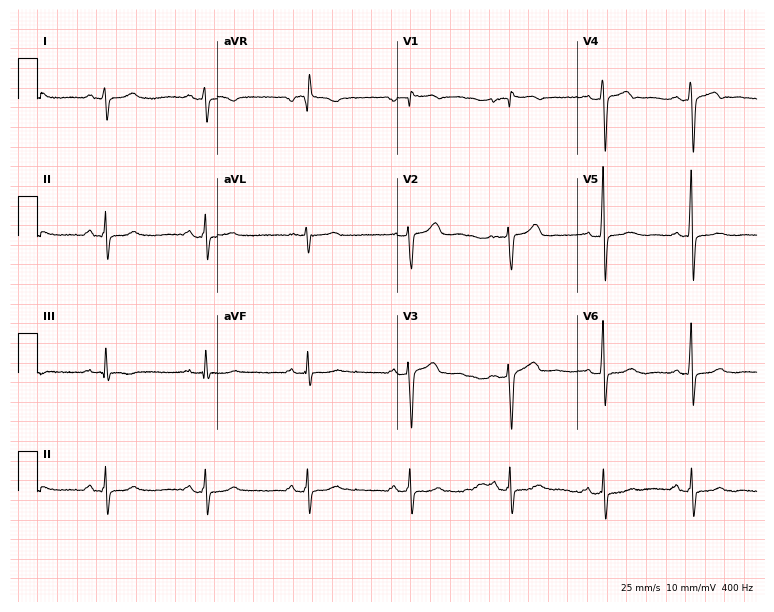
Electrocardiogram, a female patient, 42 years old. Of the six screened findings (first-degree AV block, right bundle branch block, left bundle branch block, sinus bradycardia, atrial fibrillation, sinus tachycardia), none is recorded. Other findings, if any, are not listed.